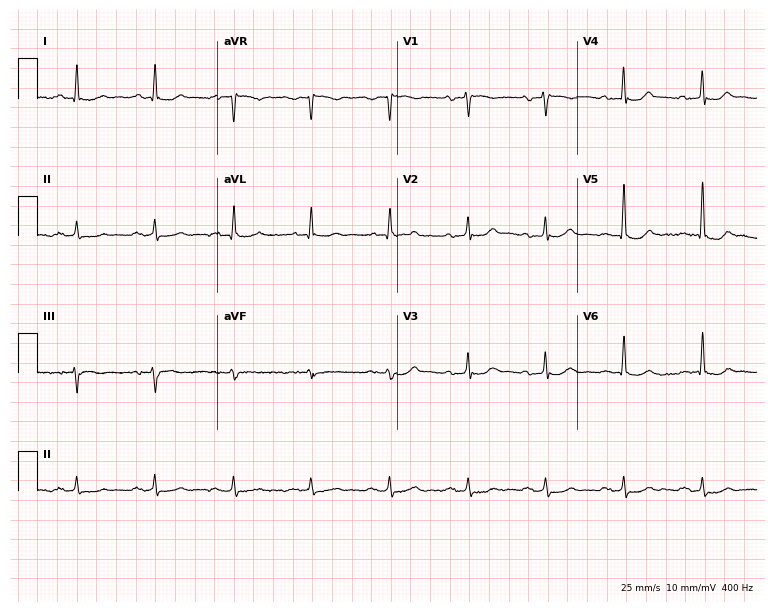
12-lead ECG from a 67-year-old male patient (7.3-second recording at 400 Hz). No first-degree AV block, right bundle branch block, left bundle branch block, sinus bradycardia, atrial fibrillation or sinus tachycardia recorded for this tracing. Other findings, if any, are not listed.